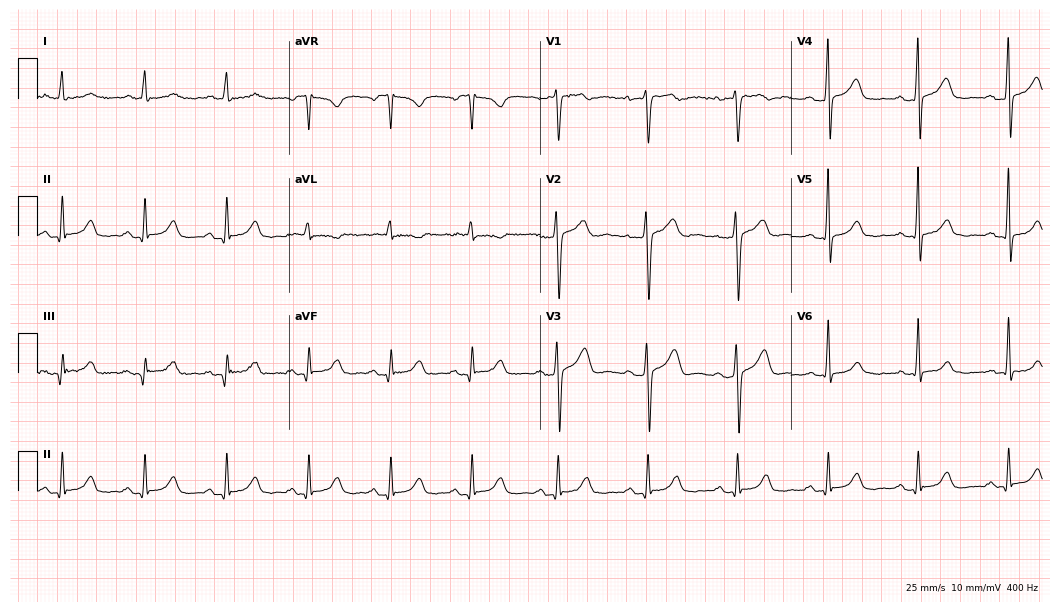
ECG (10.2-second recording at 400 Hz) — a 49-year-old female patient. Labelled as a normal ECG.